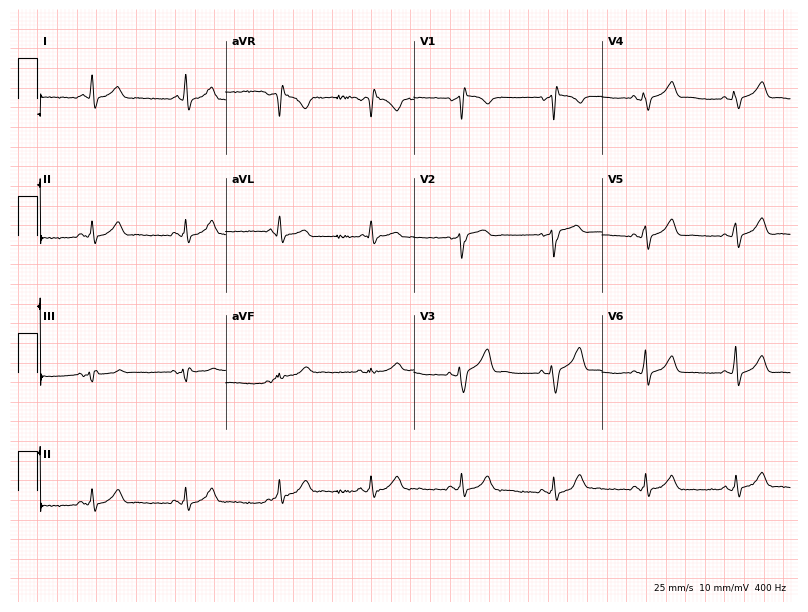
Resting 12-lead electrocardiogram. Patient: a 64-year-old male. None of these six findings is recorded: first-degree AV block, right bundle branch block (RBBB), left bundle branch block (LBBB), sinus bradycardia, atrial fibrillation (AF), sinus tachycardia.